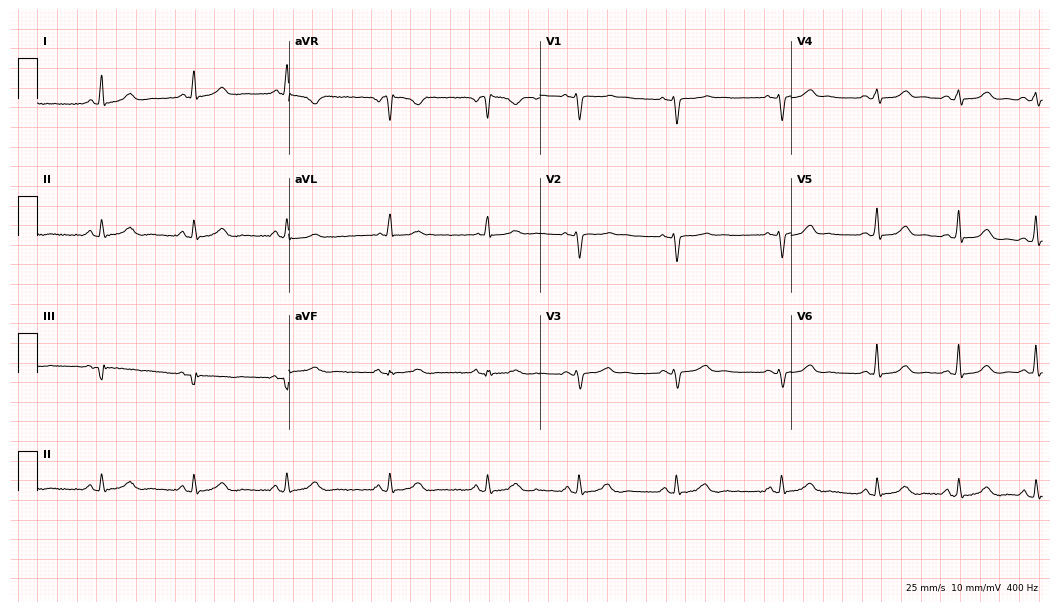
Resting 12-lead electrocardiogram. Patient: a female, 32 years old. None of these six findings is recorded: first-degree AV block, right bundle branch block, left bundle branch block, sinus bradycardia, atrial fibrillation, sinus tachycardia.